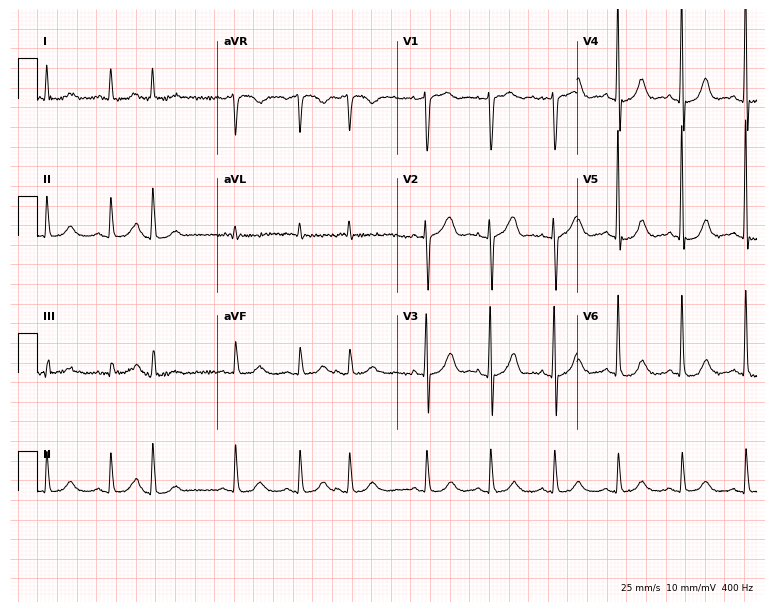
ECG — a 74-year-old male. Screened for six findings — first-degree AV block, right bundle branch block, left bundle branch block, sinus bradycardia, atrial fibrillation, sinus tachycardia — none is recorded. Only these six findings were labelled.